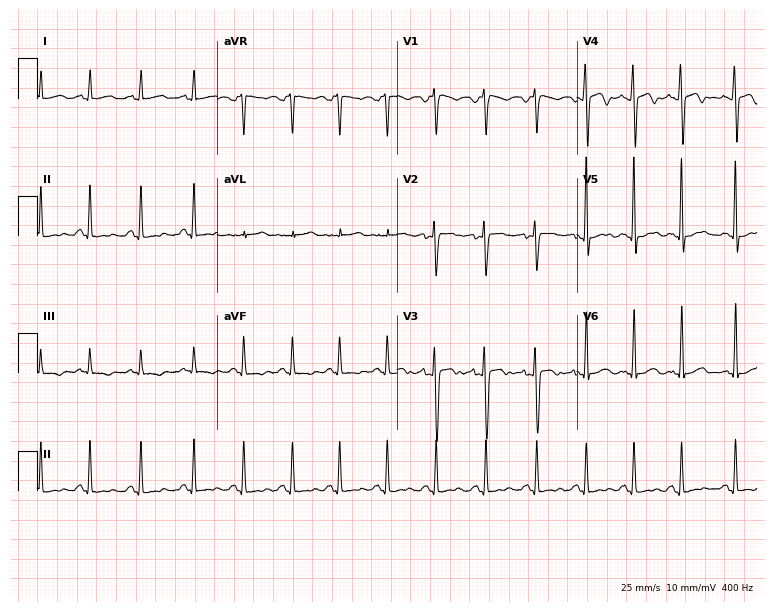
12-lead ECG from a 28-year-old female patient. Screened for six findings — first-degree AV block, right bundle branch block (RBBB), left bundle branch block (LBBB), sinus bradycardia, atrial fibrillation (AF), sinus tachycardia — none is recorded. Other findings, if any, are not listed.